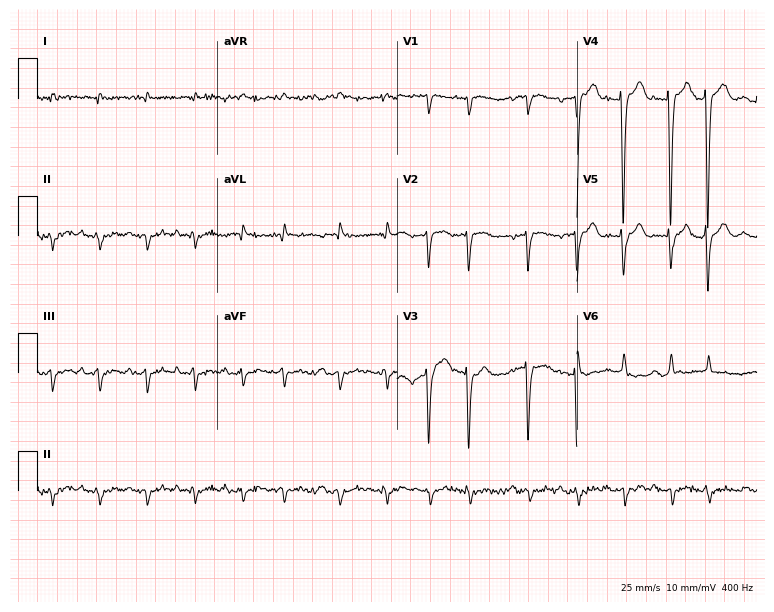
12-lead ECG from a female, 78 years old. No first-degree AV block, right bundle branch block, left bundle branch block, sinus bradycardia, atrial fibrillation or sinus tachycardia recorded for this tracing. Other findings, if any, are not listed.